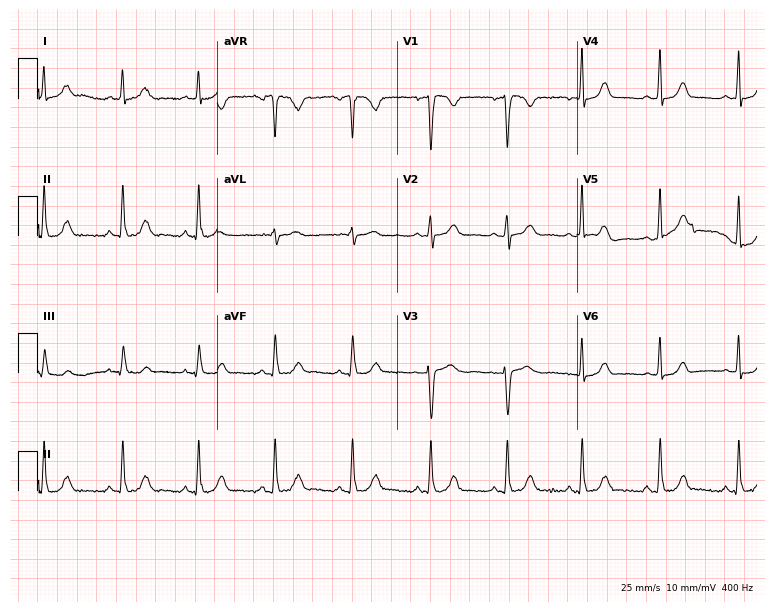
12-lead ECG from a woman, 55 years old (7.3-second recording at 400 Hz). Recorded interpretation: within normal limits.